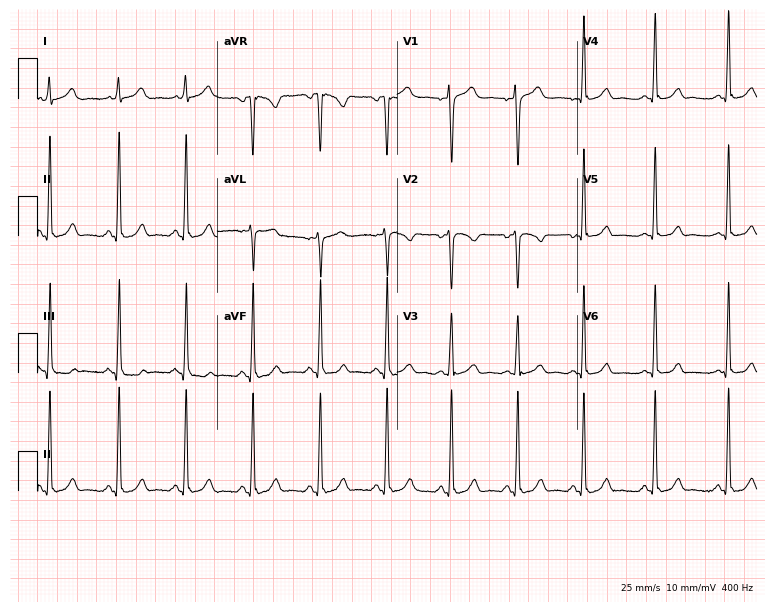
Standard 12-lead ECG recorded from a female, 26 years old (7.3-second recording at 400 Hz). Read as a normal ECG.